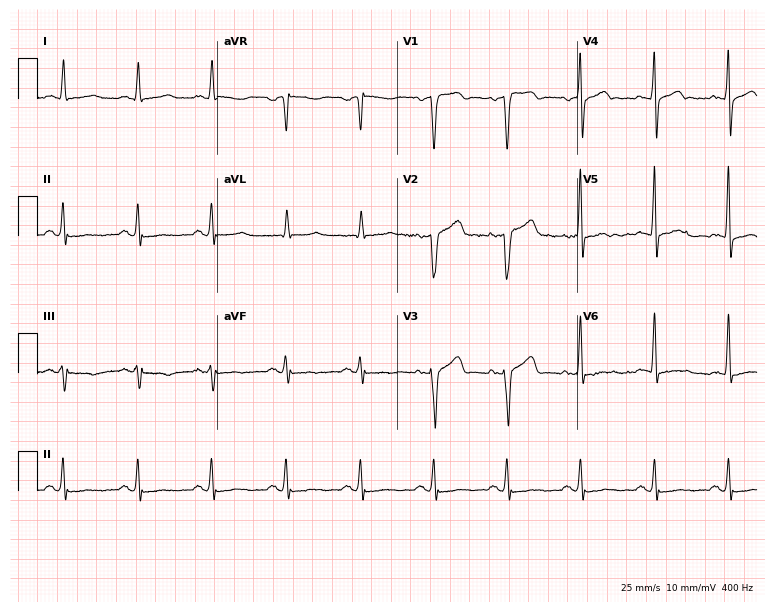
Electrocardiogram, a male, 57 years old. Of the six screened findings (first-degree AV block, right bundle branch block (RBBB), left bundle branch block (LBBB), sinus bradycardia, atrial fibrillation (AF), sinus tachycardia), none is recorded. Only these six findings were labelled.